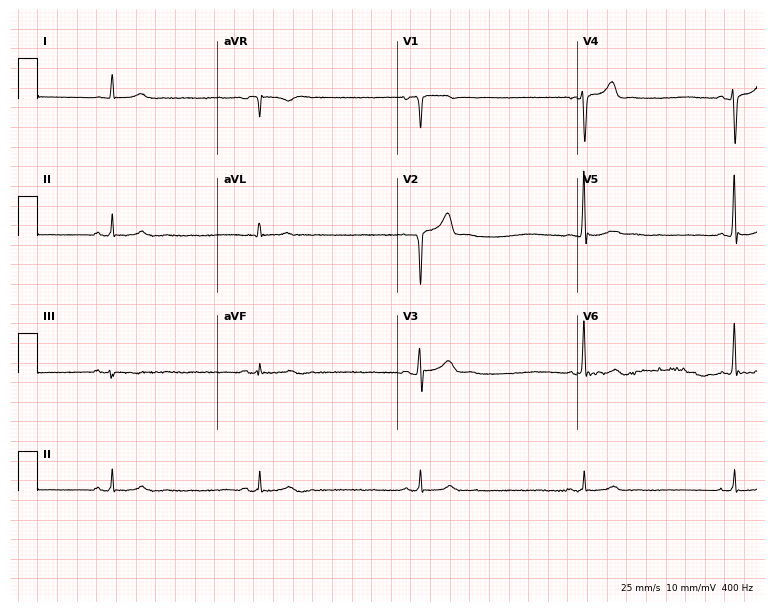
ECG (7.3-second recording at 400 Hz) — a 40-year-old male patient. Screened for six findings — first-degree AV block, right bundle branch block (RBBB), left bundle branch block (LBBB), sinus bradycardia, atrial fibrillation (AF), sinus tachycardia — none is recorded.